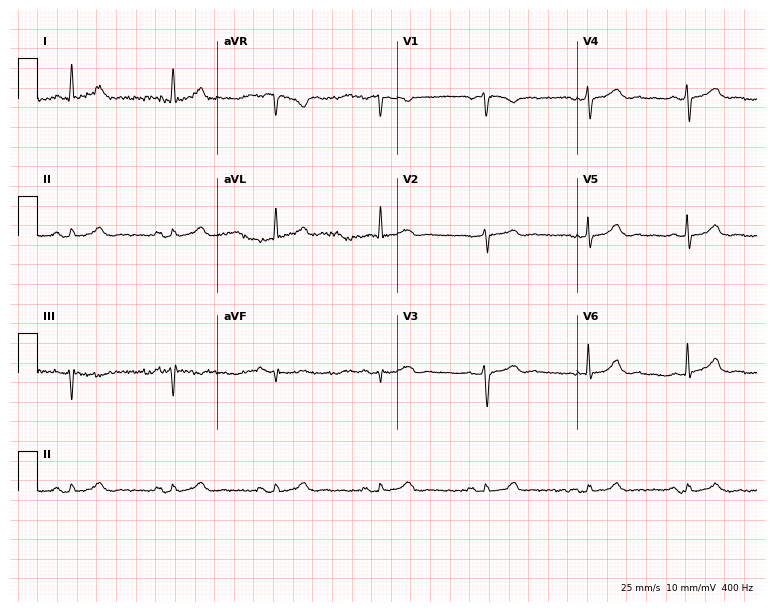
12-lead ECG (7.3-second recording at 400 Hz) from a female patient, 72 years old. Labelled as a normal ECG.